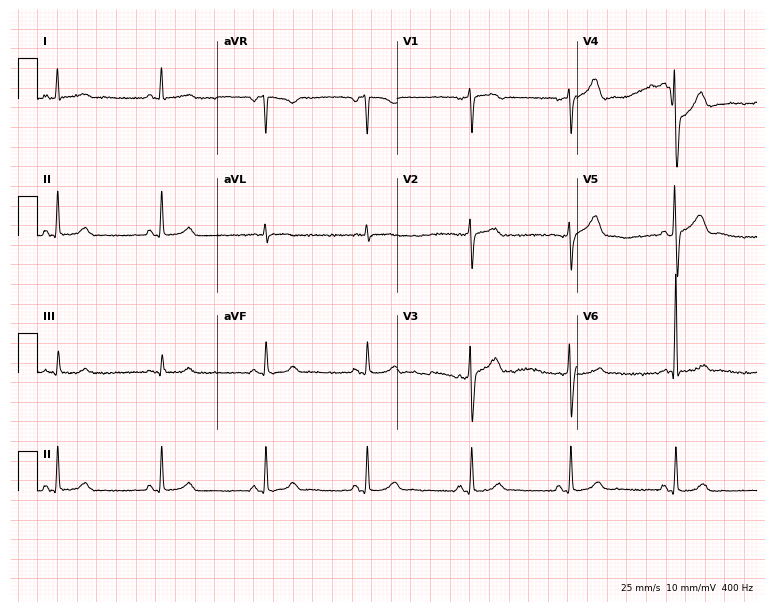
12-lead ECG (7.3-second recording at 400 Hz) from a man, 69 years old. Screened for six findings — first-degree AV block, right bundle branch block, left bundle branch block, sinus bradycardia, atrial fibrillation, sinus tachycardia — none is recorded. Findings outside these six are not listed.